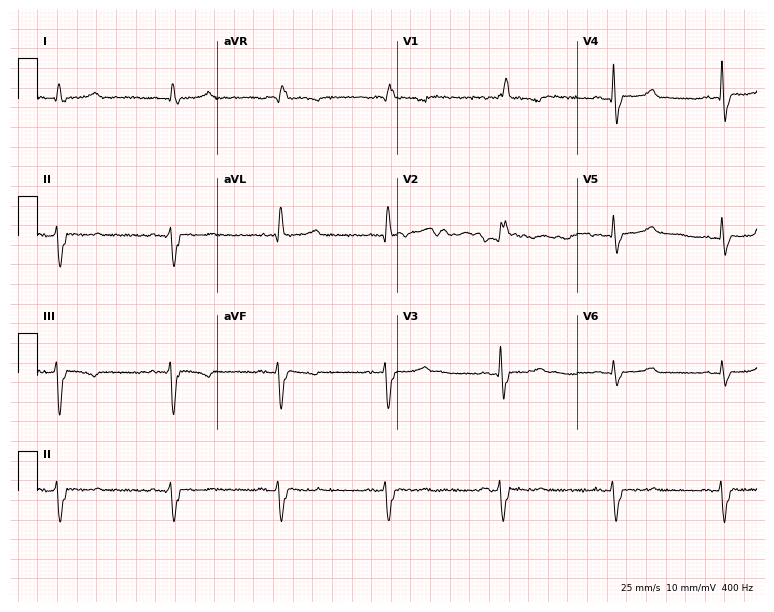
Resting 12-lead electrocardiogram (7.3-second recording at 400 Hz). Patient: a female, 73 years old. The tracing shows right bundle branch block.